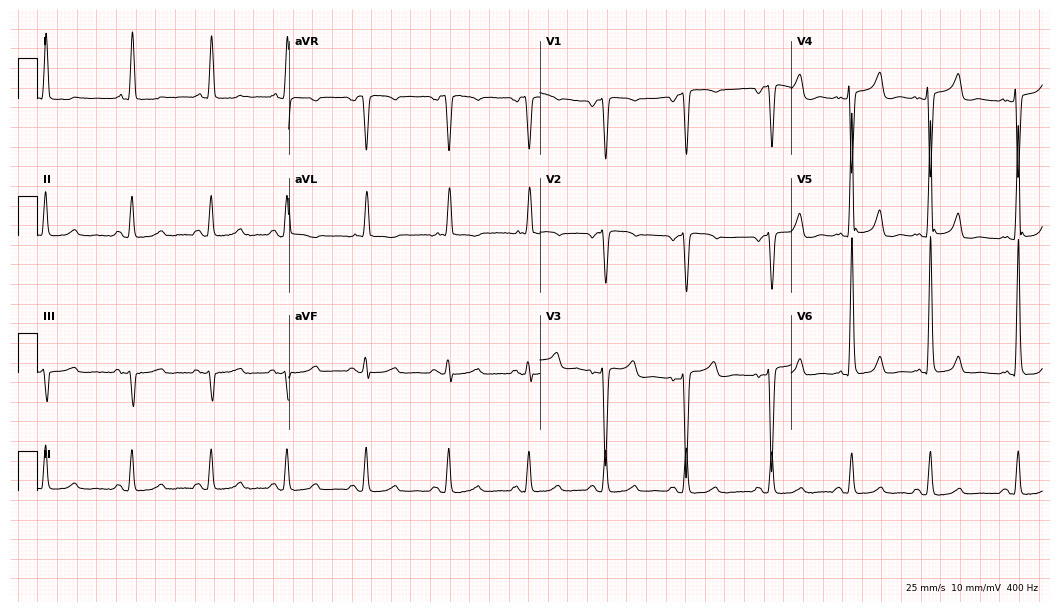
Electrocardiogram (10.2-second recording at 400 Hz), a female, 53 years old. Of the six screened findings (first-degree AV block, right bundle branch block (RBBB), left bundle branch block (LBBB), sinus bradycardia, atrial fibrillation (AF), sinus tachycardia), none is recorded. Only these six findings were labelled.